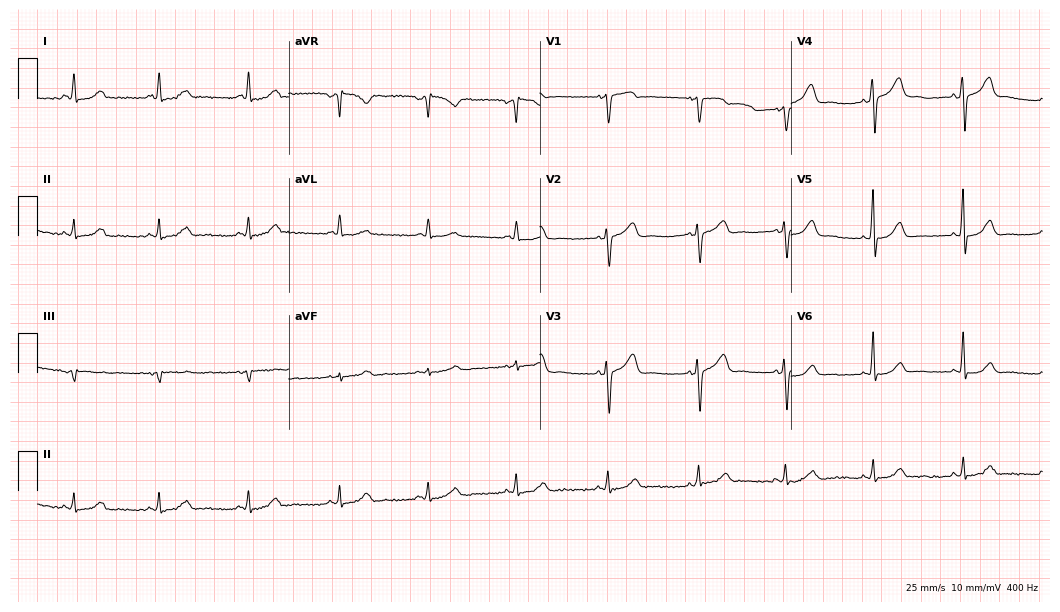
Standard 12-lead ECG recorded from a female patient, 54 years old. Read as a normal ECG.